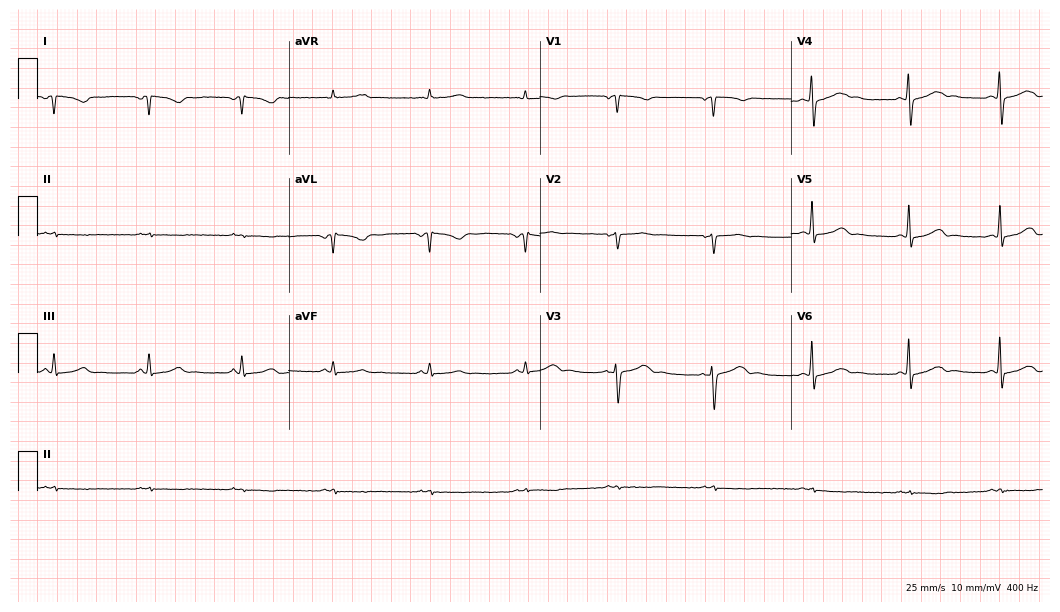
12-lead ECG (10.2-second recording at 400 Hz) from a female patient, 27 years old. Screened for six findings — first-degree AV block, right bundle branch block, left bundle branch block, sinus bradycardia, atrial fibrillation, sinus tachycardia — none is recorded.